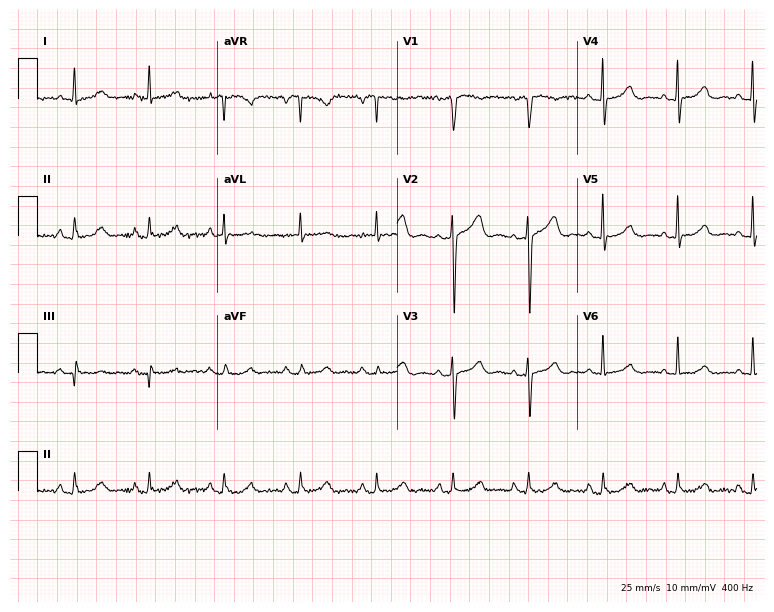
Electrocardiogram (7.3-second recording at 400 Hz), a 73-year-old female. Overall reading on record: normal ECG.